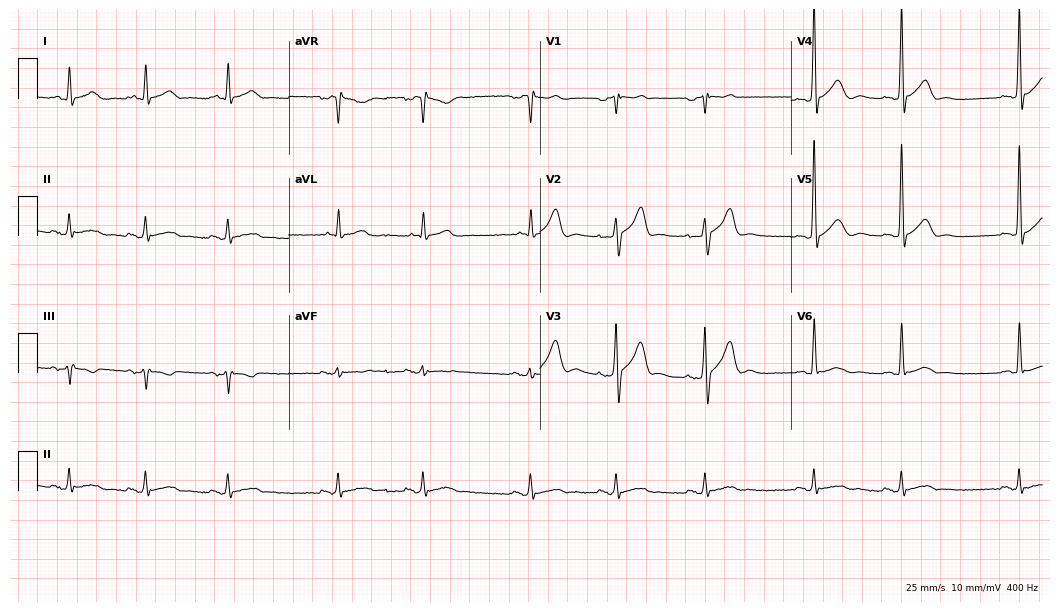
Resting 12-lead electrocardiogram. Patient: a 74-year-old male. None of these six findings is recorded: first-degree AV block, right bundle branch block, left bundle branch block, sinus bradycardia, atrial fibrillation, sinus tachycardia. Findings outside these six are not listed.